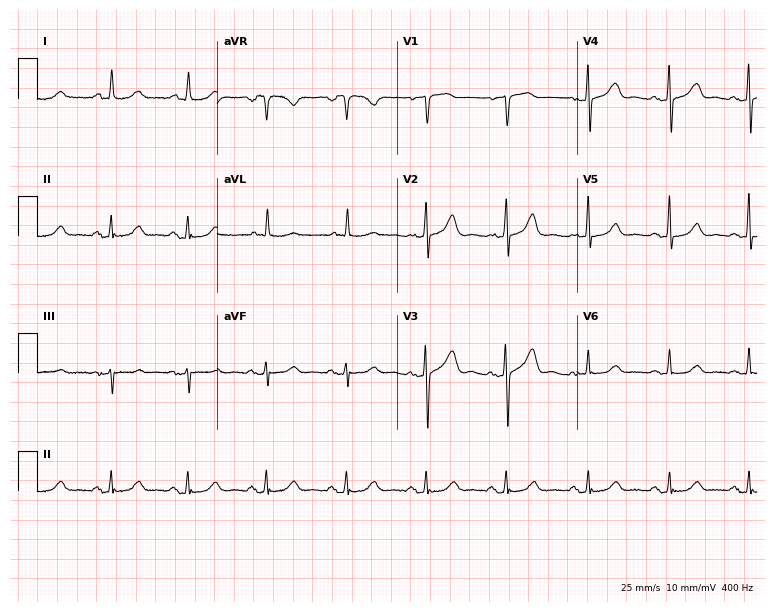
Standard 12-lead ECG recorded from a female, 76 years old. Read as a normal ECG.